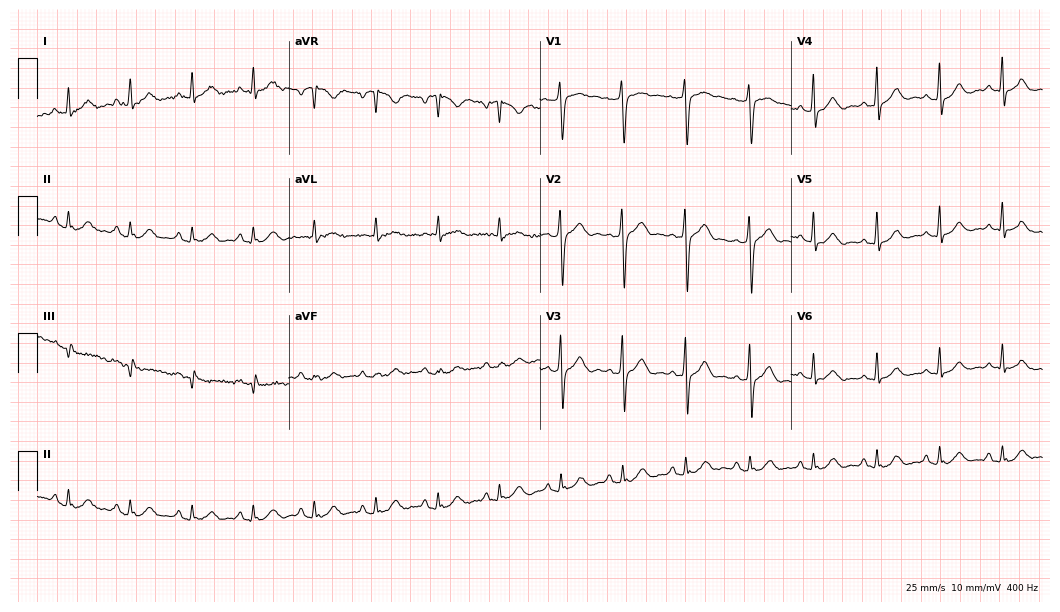
12-lead ECG (10.2-second recording at 400 Hz) from a 62-year-old man. Labelled as a normal ECG.